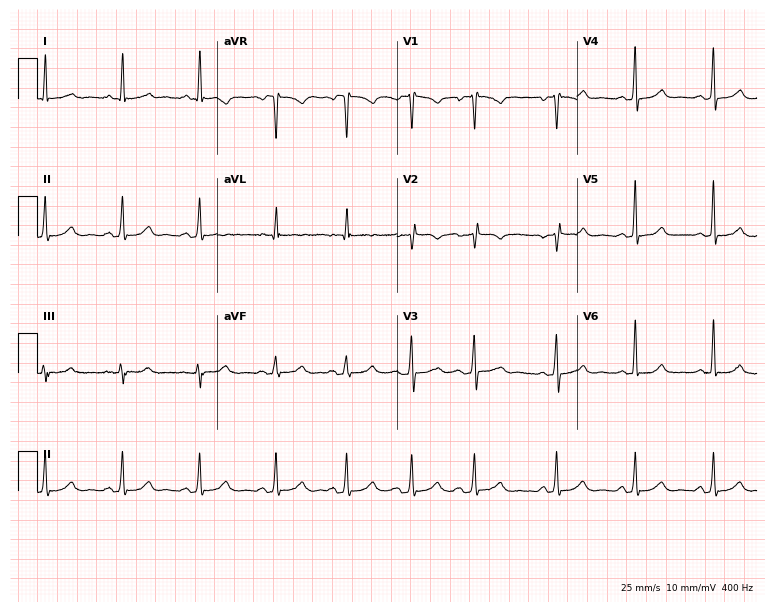
Standard 12-lead ECG recorded from a 55-year-old female. Read as a normal ECG.